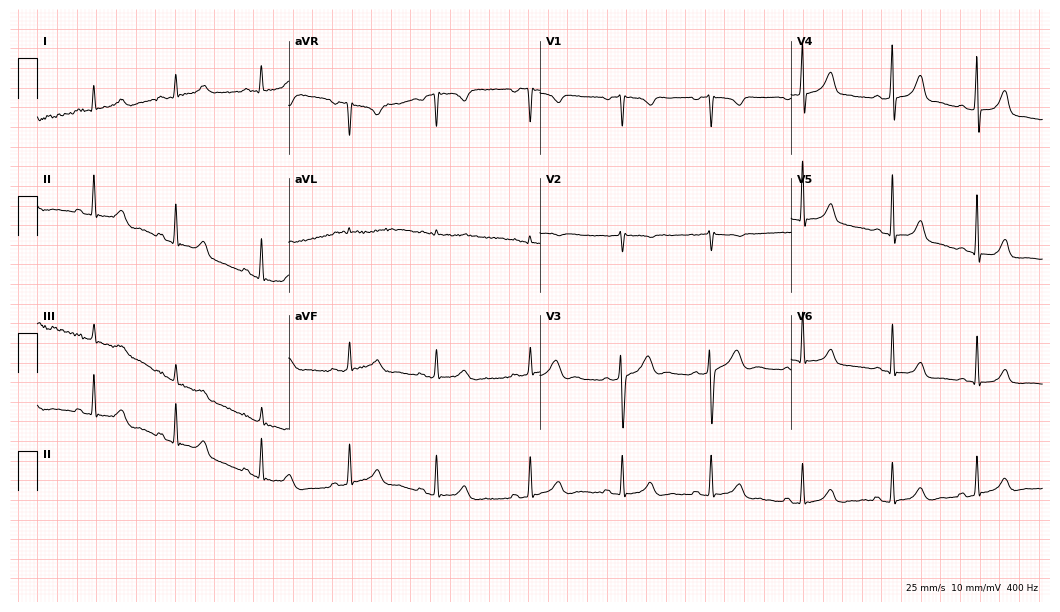
12-lead ECG from a woman, 25 years old. Labelled as a normal ECG.